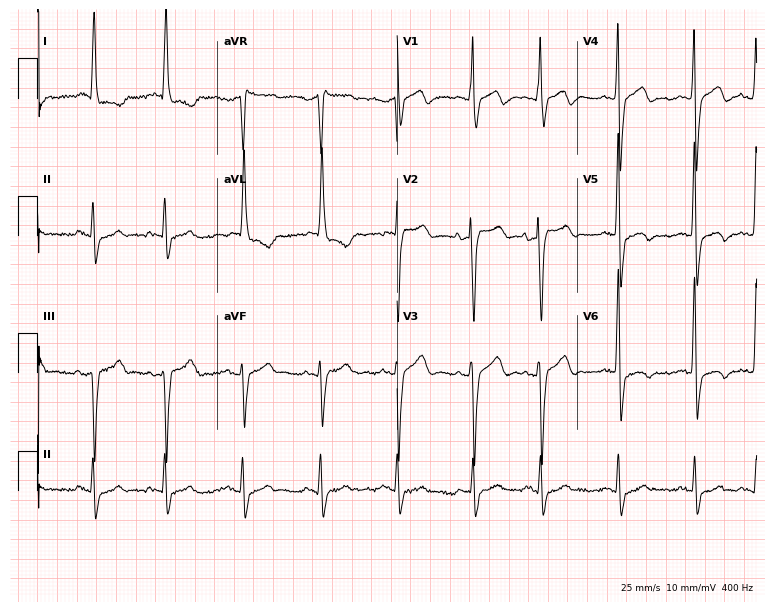
ECG (7.3-second recording at 400 Hz) — a female patient, 80 years old. Screened for six findings — first-degree AV block, right bundle branch block, left bundle branch block, sinus bradycardia, atrial fibrillation, sinus tachycardia — none is recorded.